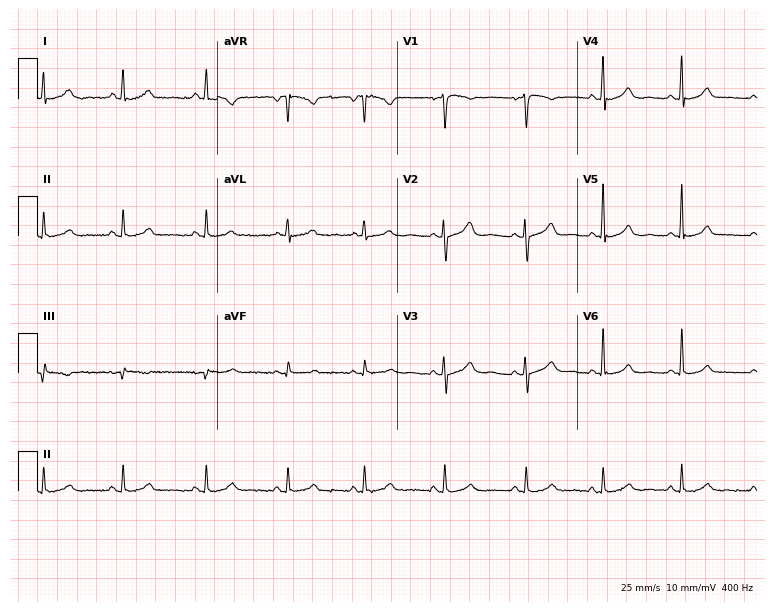
Resting 12-lead electrocardiogram (7.3-second recording at 400 Hz). Patient: a female, 40 years old. Read as a normal ECG.